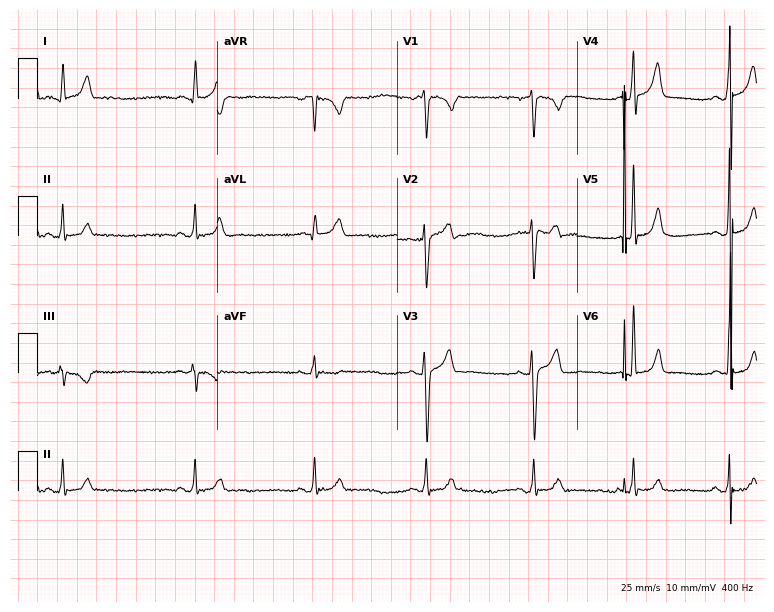
ECG — a 26-year-old male patient. Findings include sinus bradycardia (a sinus rate of 50 beats per minute or less).